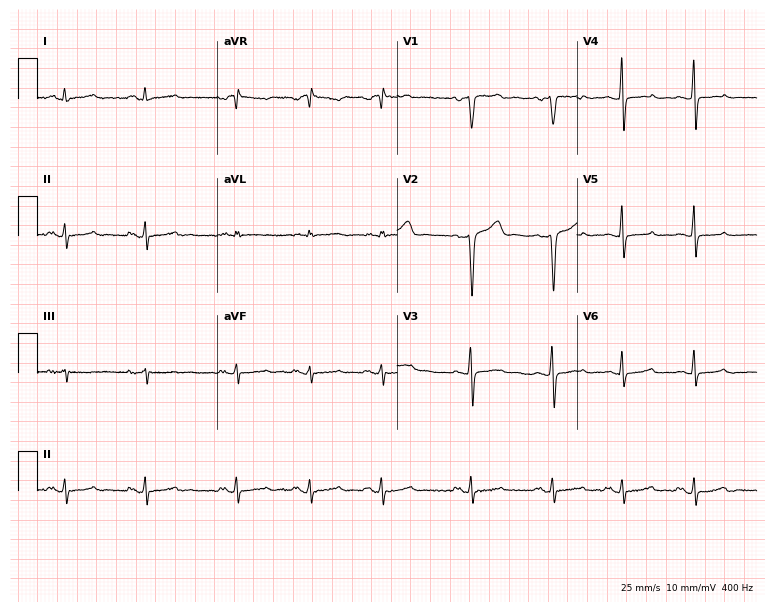
Electrocardiogram (7.3-second recording at 400 Hz), a 27-year-old woman. Of the six screened findings (first-degree AV block, right bundle branch block, left bundle branch block, sinus bradycardia, atrial fibrillation, sinus tachycardia), none is recorded.